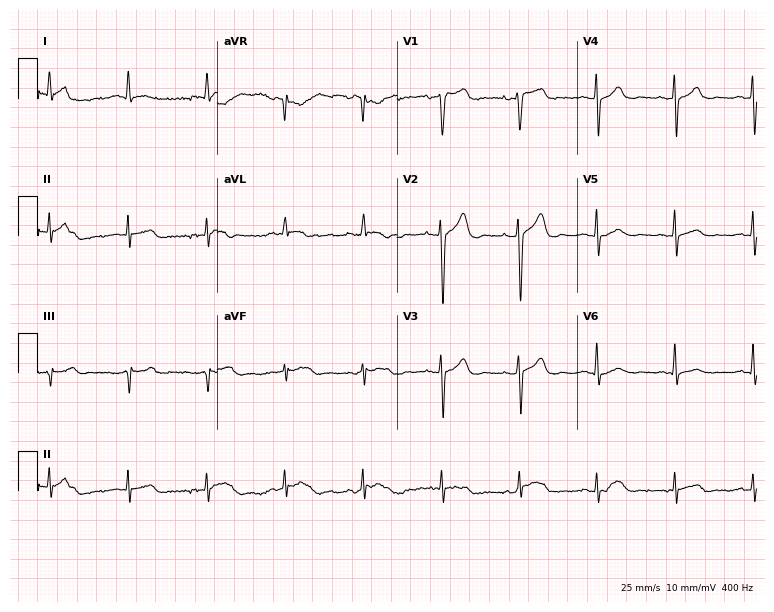
12-lead ECG from a 60-year-old man (7.3-second recording at 400 Hz). Recorded interpretation: within normal limits.